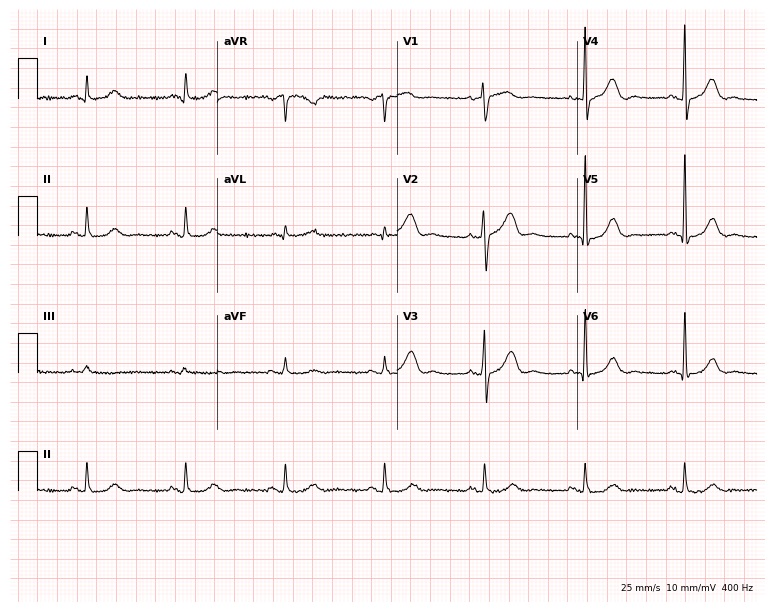
Standard 12-lead ECG recorded from a 72-year-old male patient (7.3-second recording at 400 Hz). None of these six findings is recorded: first-degree AV block, right bundle branch block (RBBB), left bundle branch block (LBBB), sinus bradycardia, atrial fibrillation (AF), sinus tachycardia.